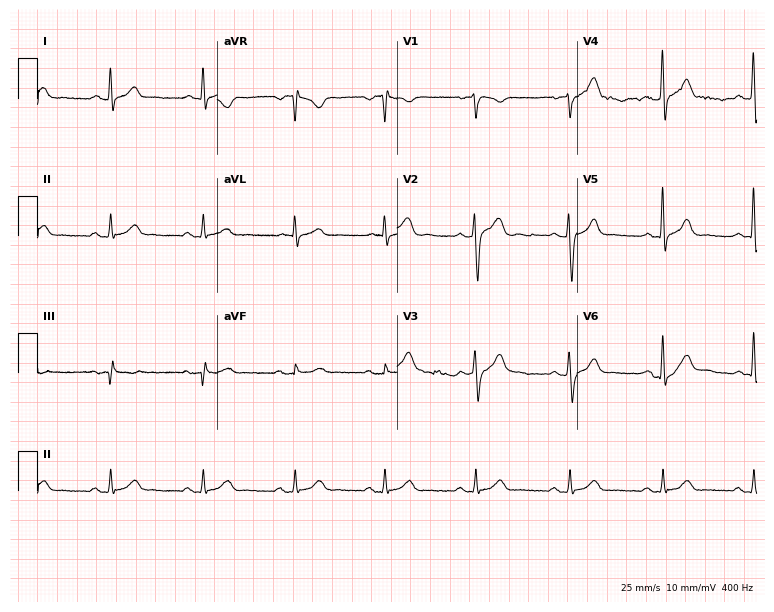
Electrocardiogram (7.3-second recording at 400 Hz), a 41-year-old man. Overall reading on record: normal ECG.